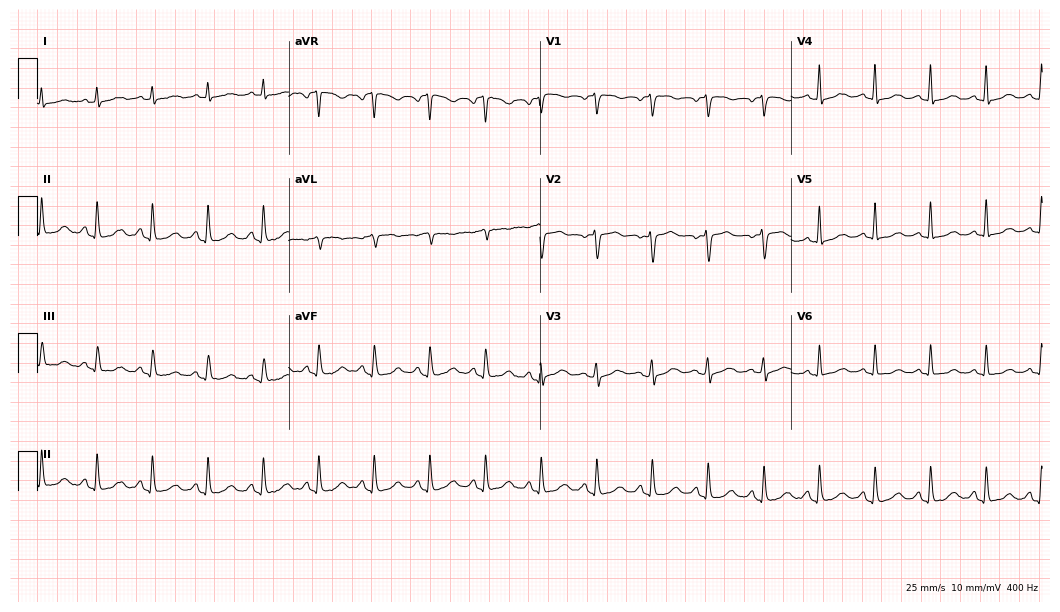
ECG (10.2-second recording at 400 Hz) — a female patient, 64 years old. Screened for six findings — first-degree AV block, right bundle branch block (RBBB), left bundle branch block (LBBB), sinus bradycardia, atrial fibrillation (AF), sinus tachycardia — none is recorded. Other findings, if any, are not listed.